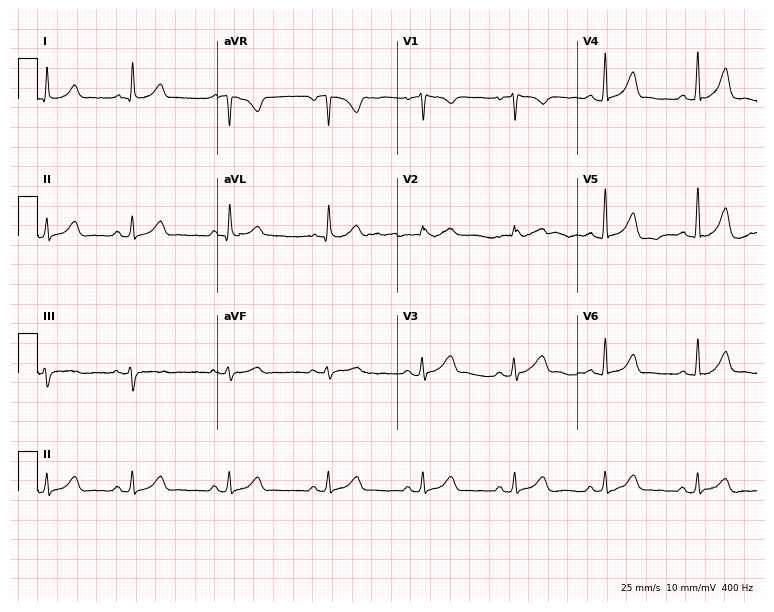
ECG (7.3-second recording at 400 Hz) — a female, 39 years old. Labelled as a normal ECG.